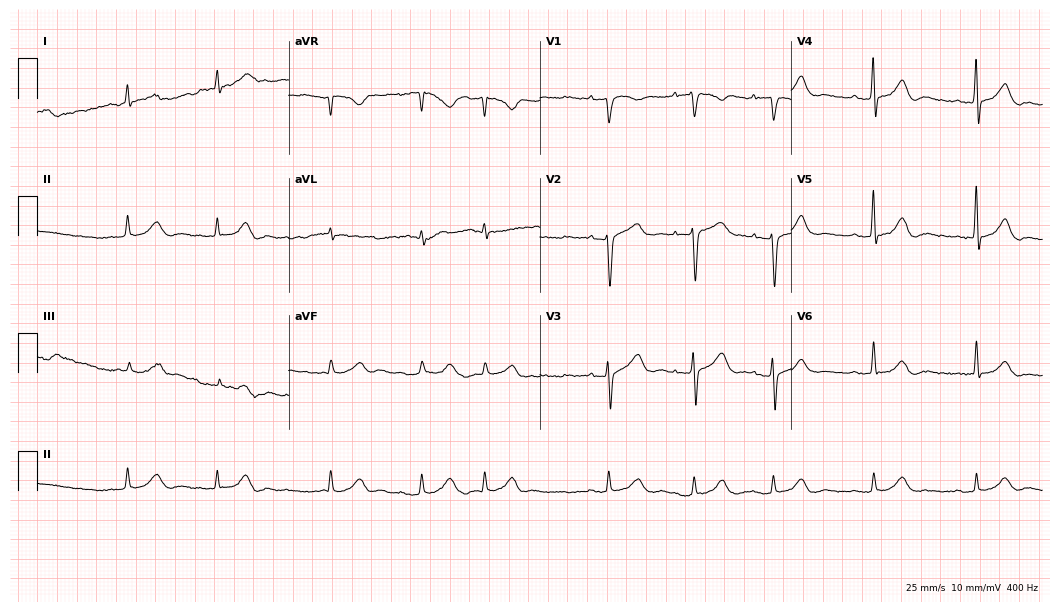
Resting 12-lead electrocardiogram. Patient: an 83-year-old male. None of these six findings is recorded: first-degree AV block, right bundle branch block, left bundle branch block, sinus bradycardia, atrial fibrillation, sinus tachycardia.